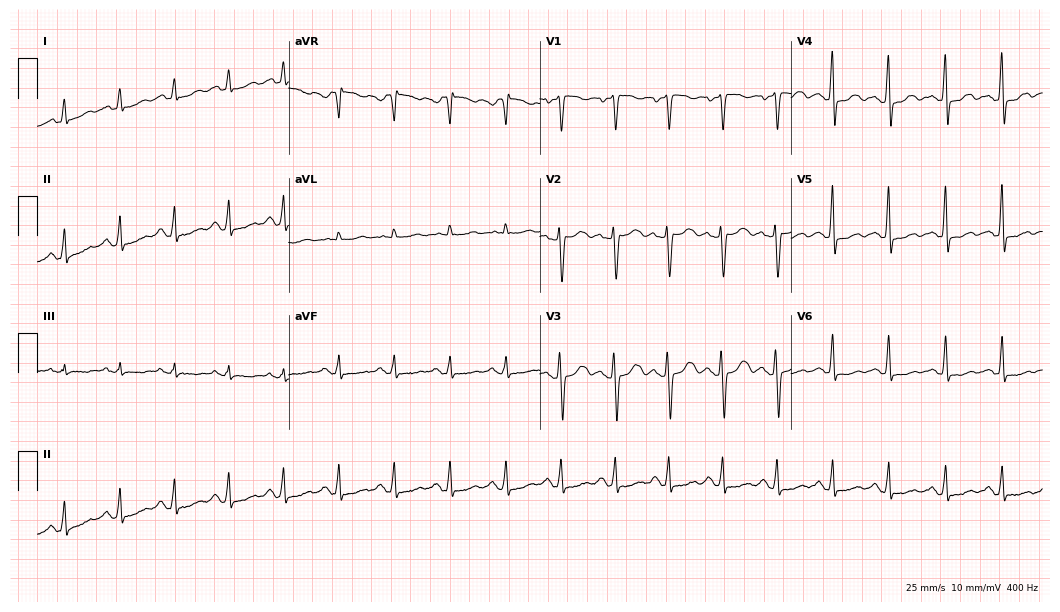
12-lead ECG from a female, 47 years old (10.2-second recording at 400 Hz). No first-degree AV block, right bundle branch block, left bundle branch block, sinus bradycardia, atrial fibrillation or sinus tachycardia recorded for this tracing.